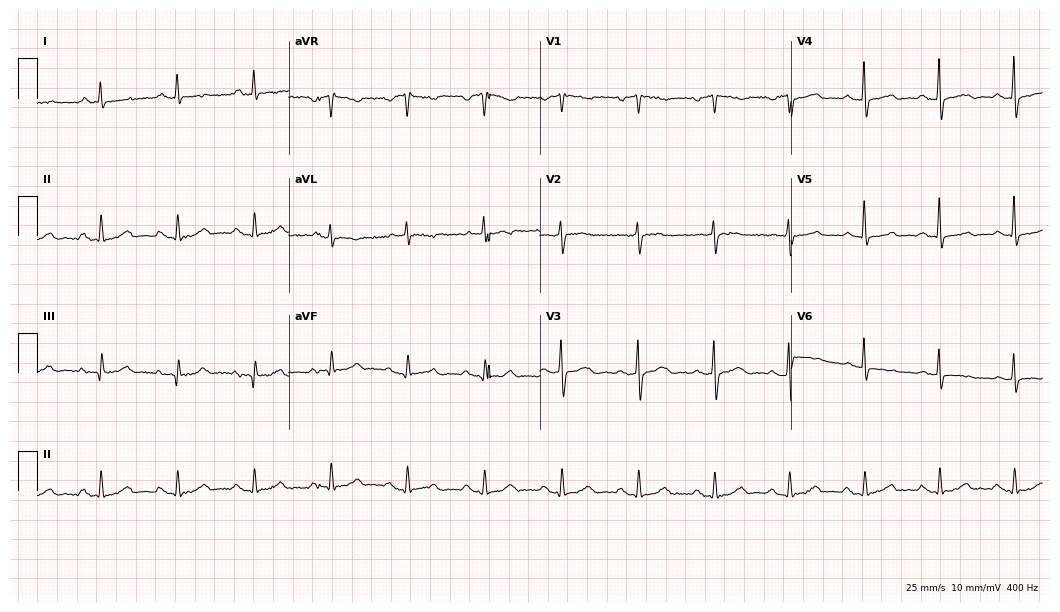
ECG — a 72-year-old male. Screened for six findings — first-degree AV block, right bundle branch block (RBBB), left bundle branch block (LBBB), sinus bradycardia, atrial fibrillation (AF), sinus tachycardia — none is recorded.